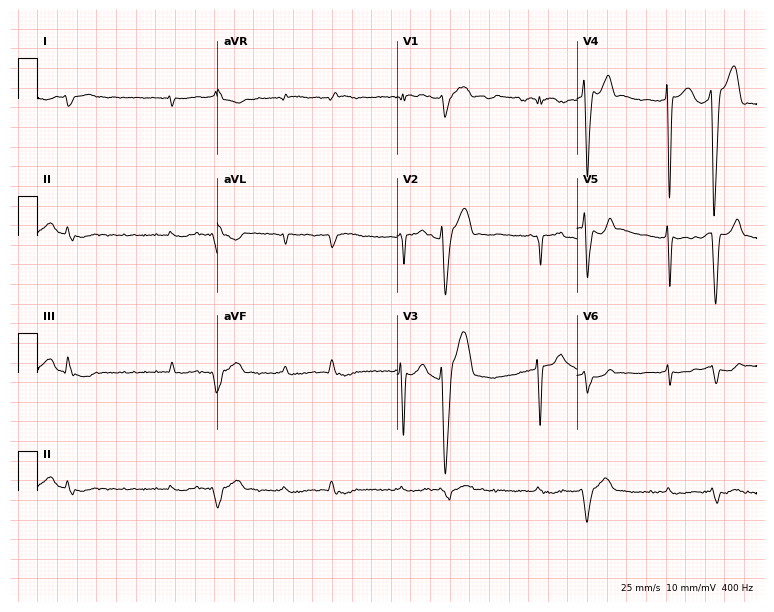
12-lead ECG from a 77-year-old female patient. Shows atrial fibrillation (AF).